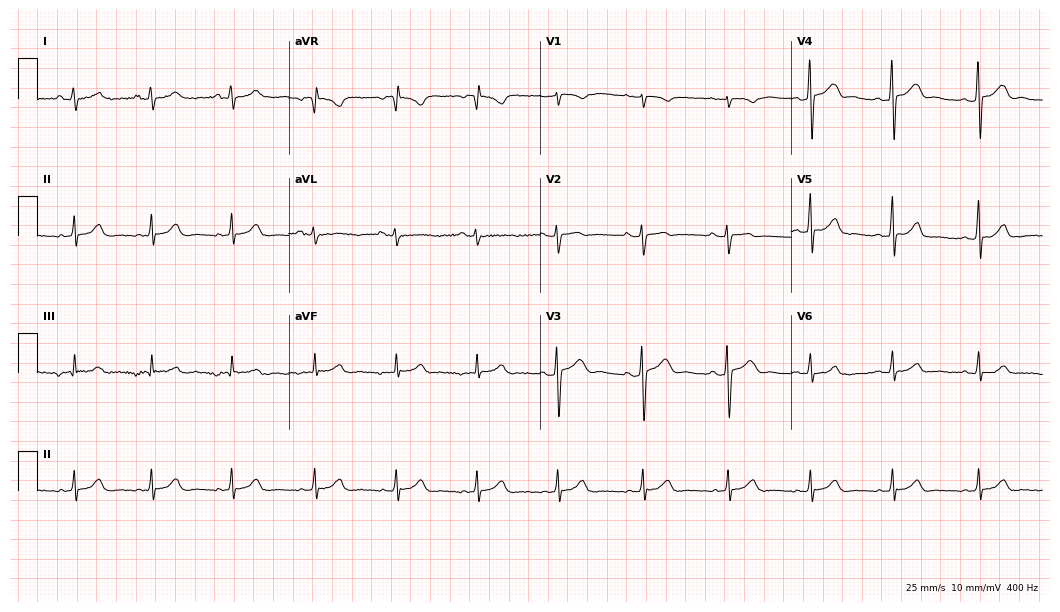
12-lead ECG from a woman, 23 years old. Recorded interpretation: within normal limits.